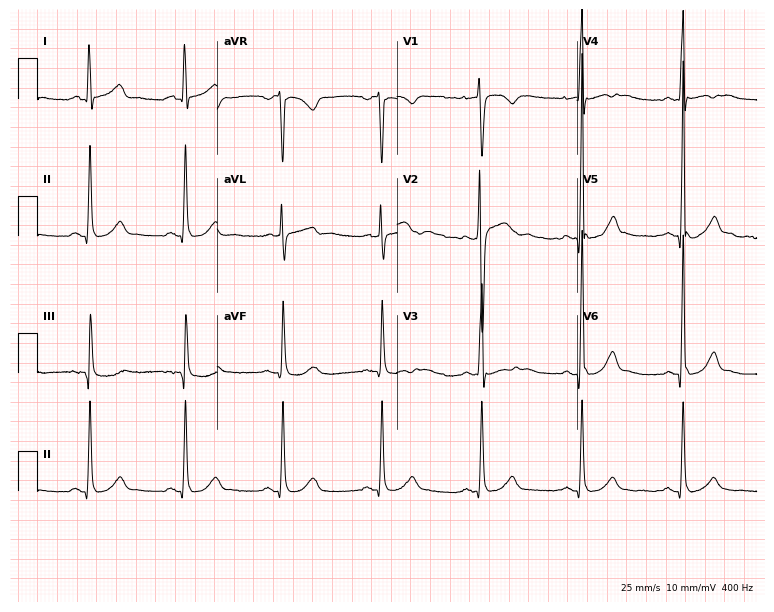
12-lead ECG from a 39-year-old male patient. No first-degree AV block, right bundle branch block (RBBB), left bundle branch block (LBBB), sinus bradycardia, atrial fibrillation (AF) or sinus tachycardia recorded for this tracing. Only these six findings were labelled.